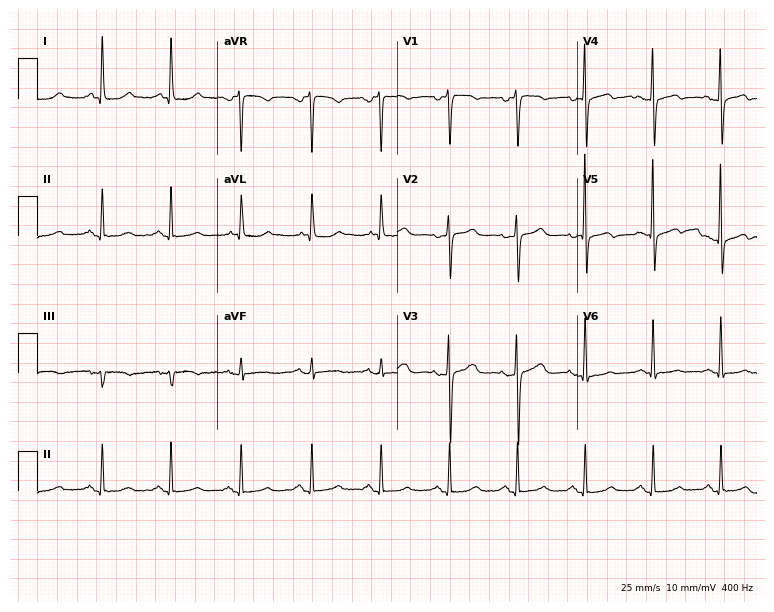
12-lead ECG from a female patient, 47 years old. Screened for six findings — first-degree AV block, right bundle branch block (RBBB), left bundle branch block (LBBB), sinus bradycardia, atrial fibrillation (AF), sinus tachycardia — none is recorded. Only these six findings were labelled.